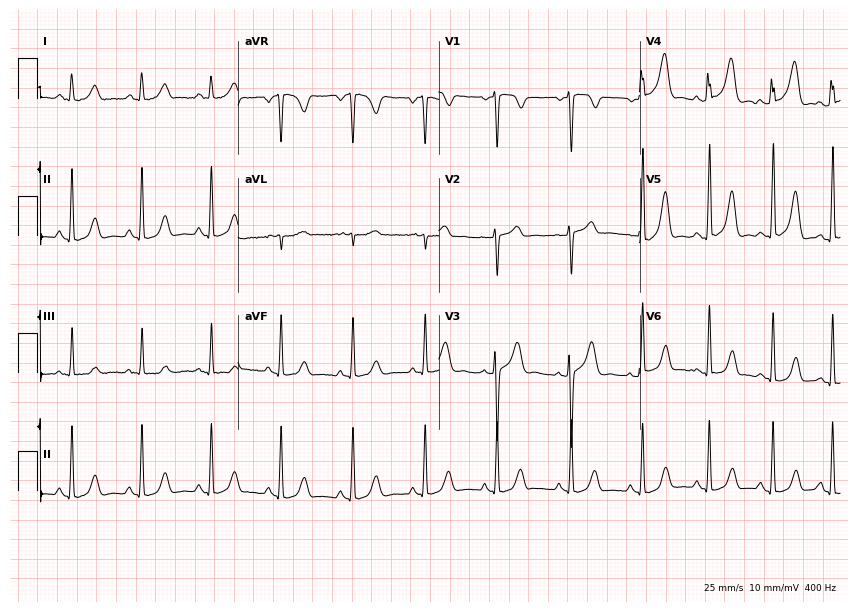
Resting 12-lead electrocardiogram (8.2-second recording at 400 Hz). Patient: a woman, 35 years old. None of these six findings is recorded: first-degree AV block, right bundle branch block, left bundle branch block, sinus bradycardia, atrial fibrillation, sinus tachycardia. Findings outside these six are not listed.